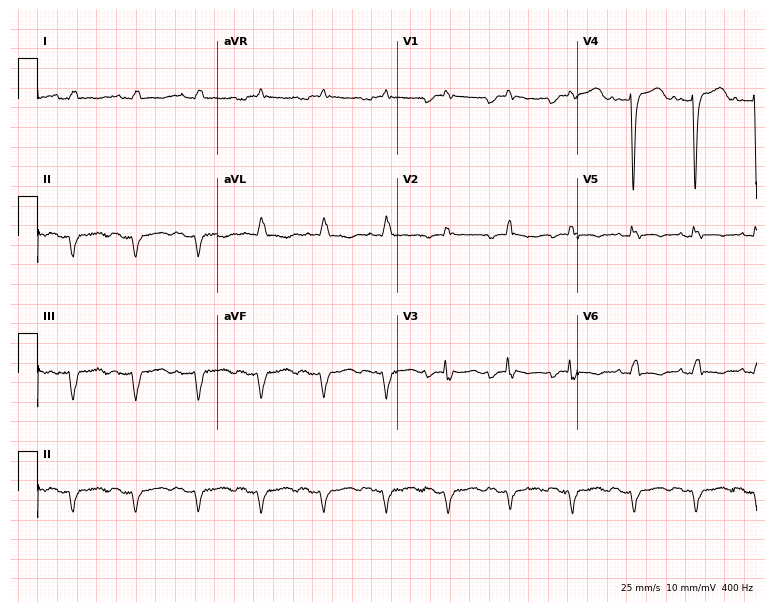
Resting 12-lead electrocardiogram. Patient: a male, 55 years old. The tracing shows right bundle branch block.